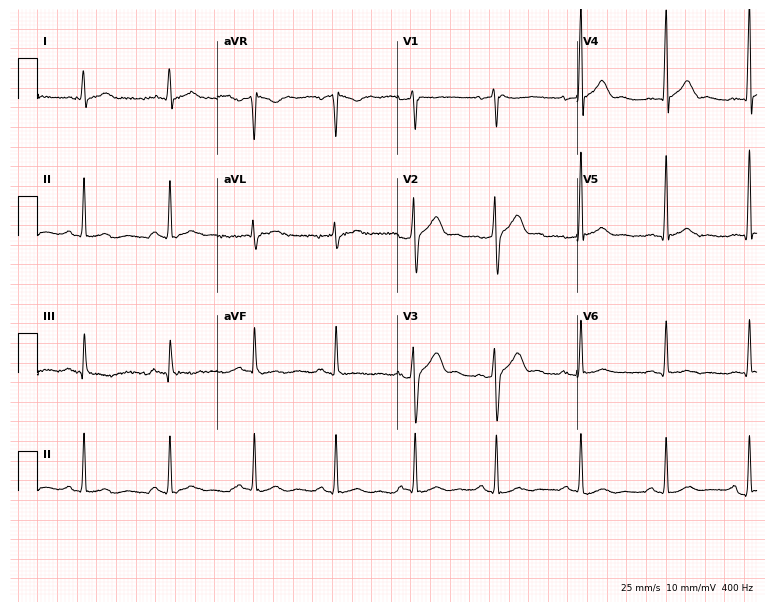
Standard 12-lead ECG recorded from a male, 33 years old. None of these six findings is recorded: first-degree AV block, right bundle branch block (RBBB), left bundle branch block (LBBB), sinus bradycardia, atrial fibrillation (AF), sinus tachycardia. Other findings, if any, are not listed.